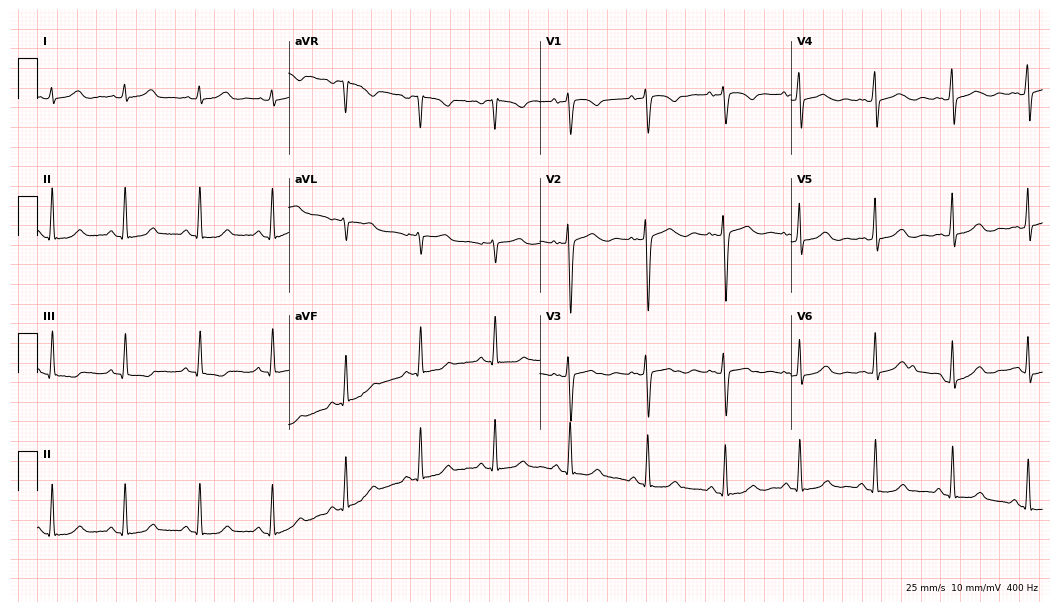
ECG — a 56-year-old woman. Screened for six findings — first-degree AV block, right bundle branch block (RBBB), left bundle branch block (LBBB), sinus bradycardia, atrial fibrillation (AF), sinus tachycardia — none is recorded. Other findings, if any, are not listed.